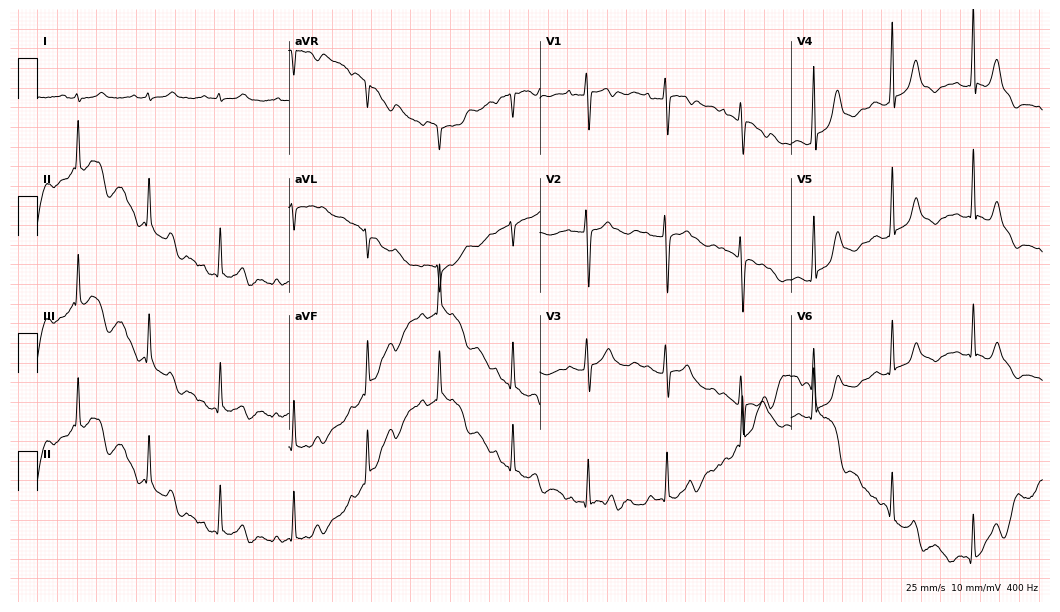
Electrocardiogram (10.2-second recording at 400 Hz), a 27-year-old woman. Overall reading on record: normal ECG.